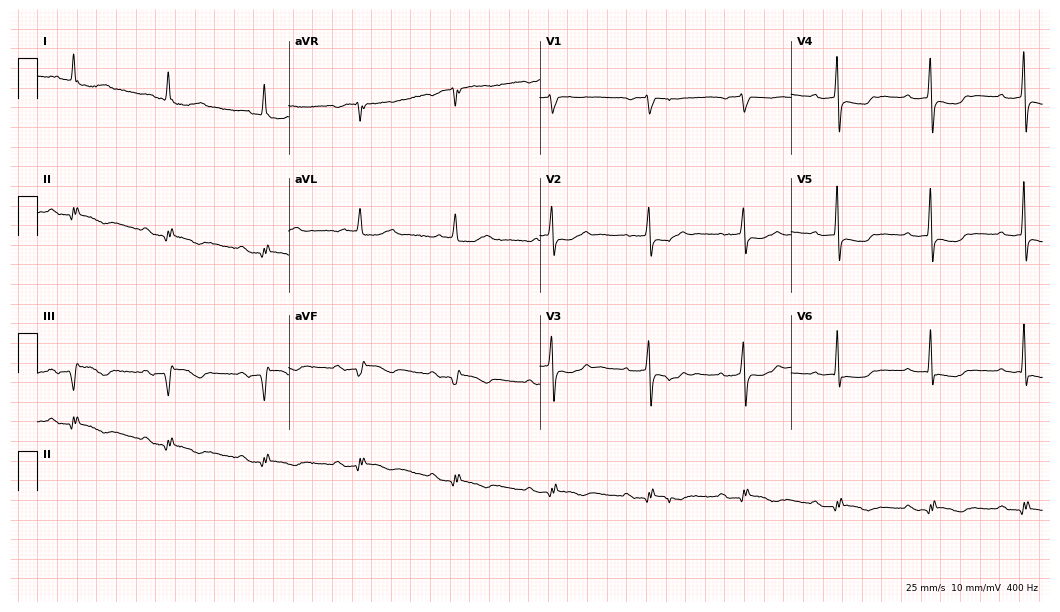
Resting 12-lead electrocardiogram. Patient: a 68-year-old man. The tracing shows first-degree AV block.